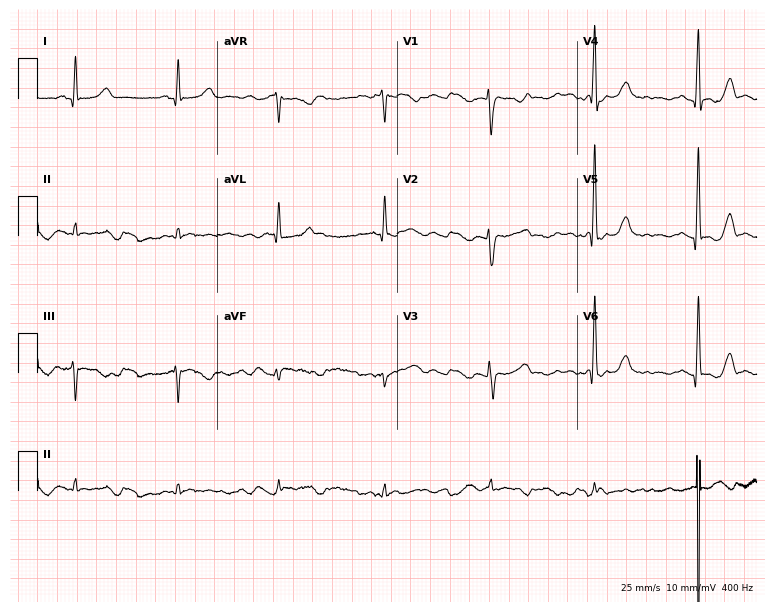
12-lead ECG from a 48-year-old female patient. Labelled as a normal ECG.